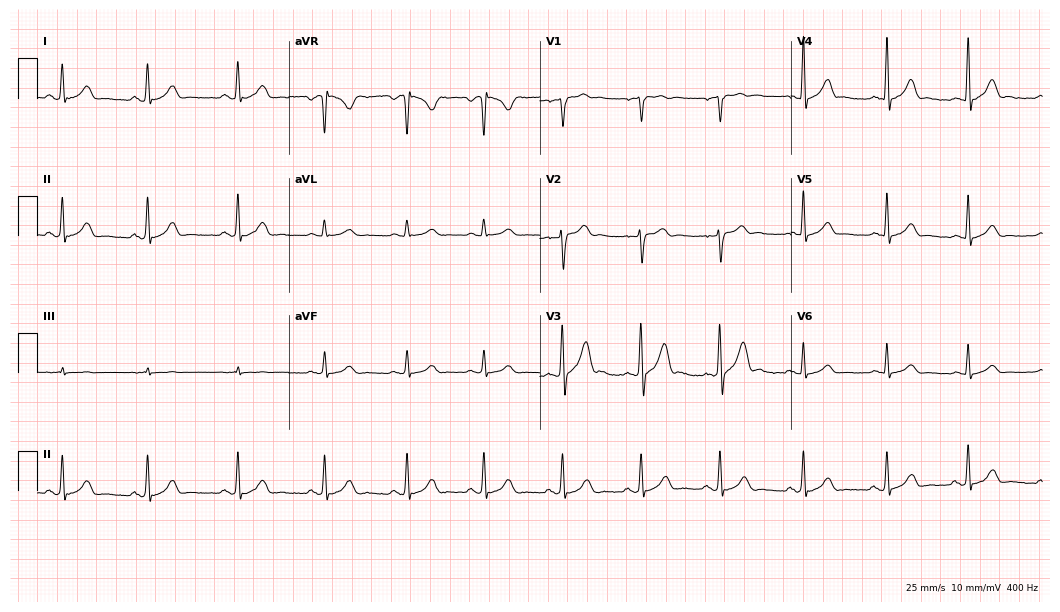
Resting 12-lead electrocardiogram. Patient: a man, 39 years old. Read as a normal ECG.